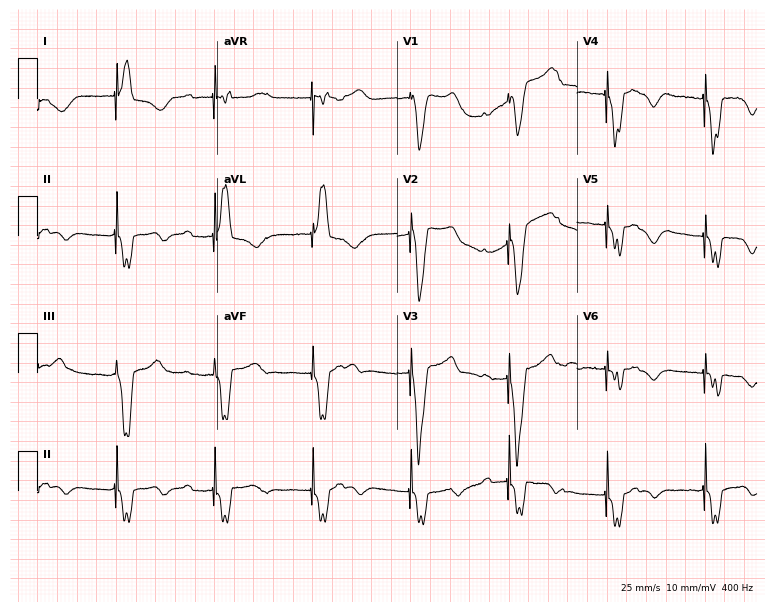
12-lead ECG from a female, 67 years old. Screened for six findings — first-degree AV block, right bundle branch block, left bundle branch block, sinus bradycardia, atrial fibrillation, sinus tachycardia — none is recorded.